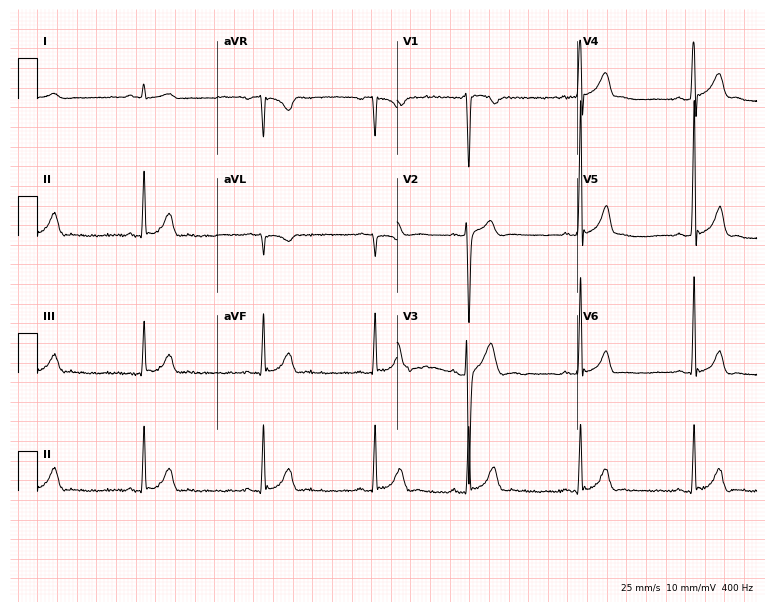
12-lead ECG from a 19-year-old male patient. Recorded interpretation: within normal limits.